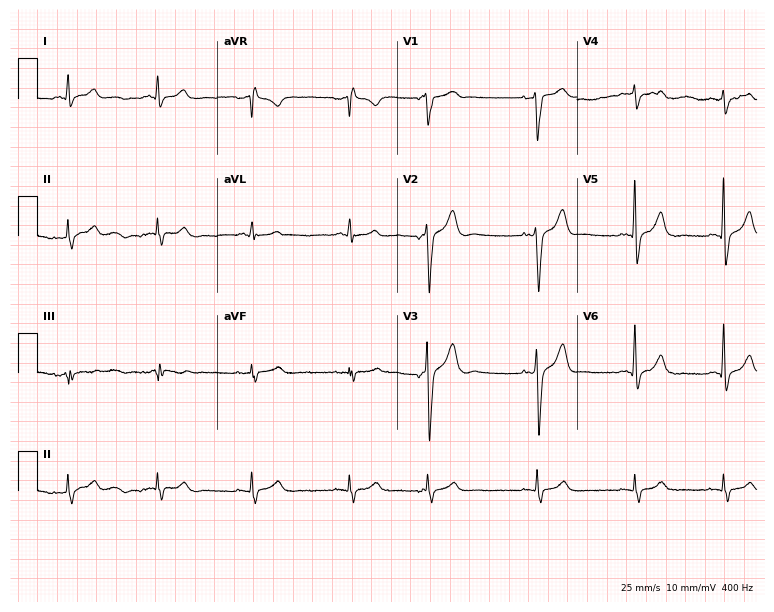
Resting 12-lead electrocardiogram (7.3-second recording at 400 Hz). Patient: a man, 50 years old. None of these six findings is recorded: first-degree AV block, right bundle branch block, left bundle branch block, sinus bradycardia, atrial fibrillation, sinus tachycardia. Findings outside these six are not listed.